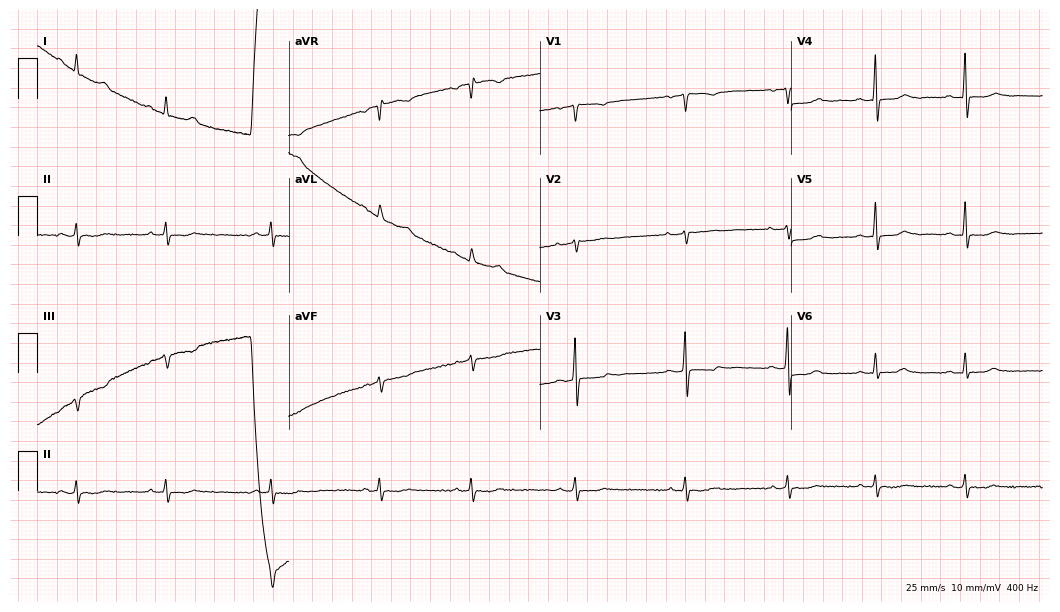
Resting 12-lead electrocardiogram. Patient: a female, 34 years old. Read as a normal ECG.